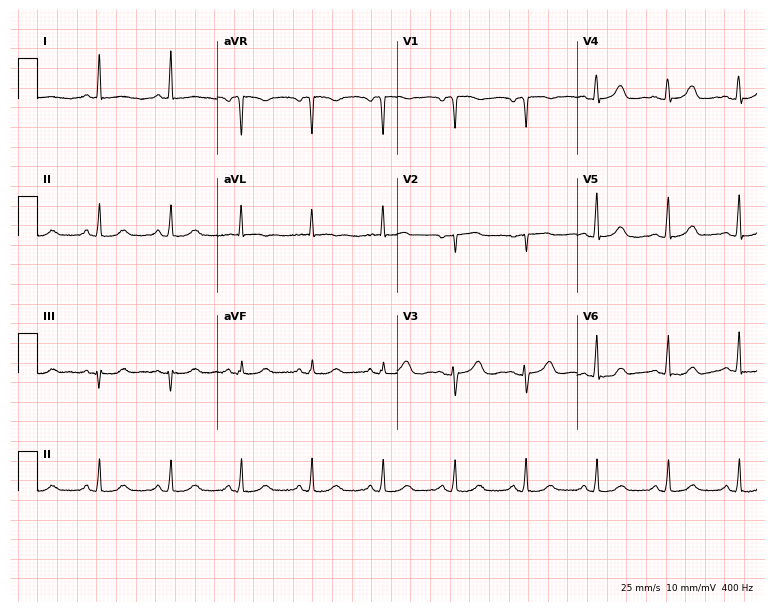
Electrocardiogram (7.3-second recording at 400 Hz), a woman, 65 years old. Overall reading on record: normal ECG.